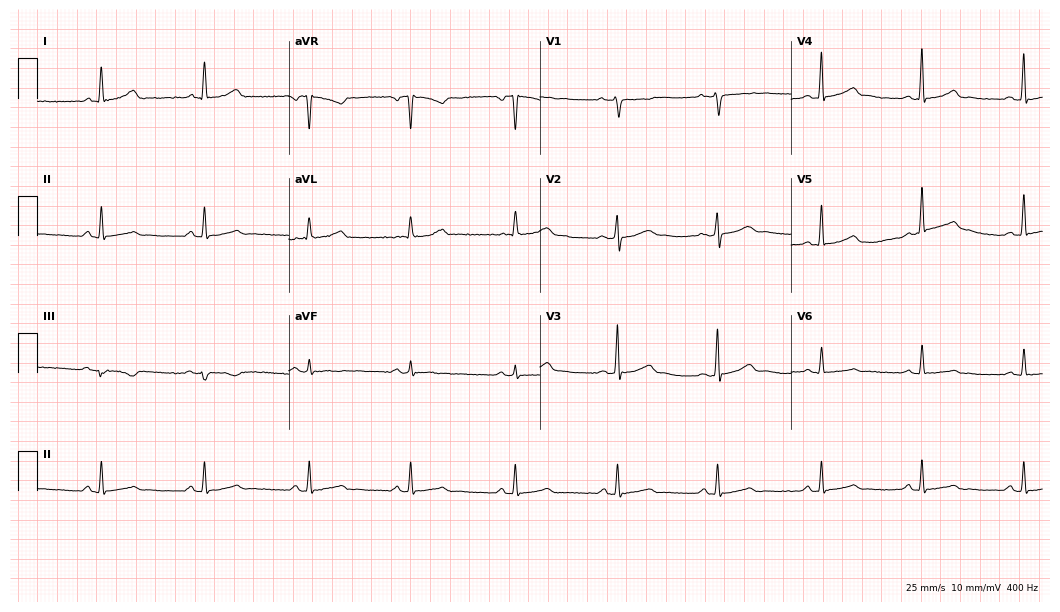
12-lead ECG from a female patient, 50 years old. Recorded interpretation: within normal limits.